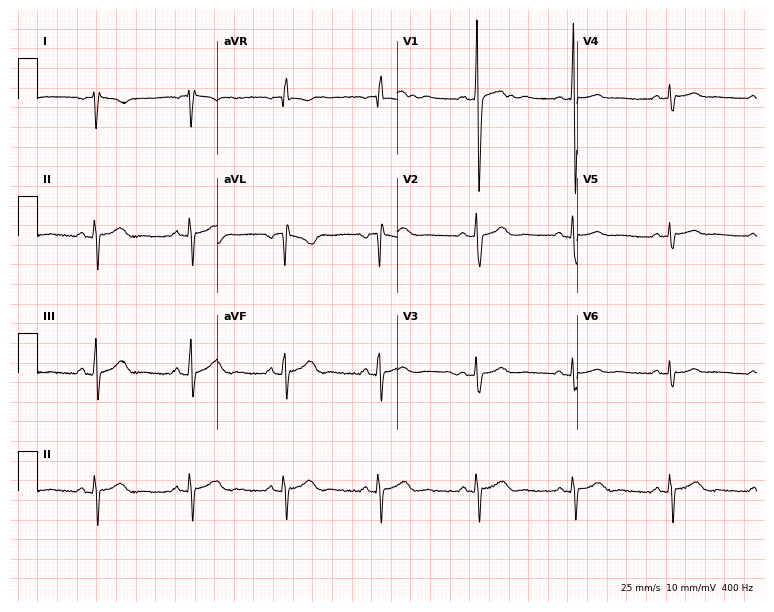
Resting 12-lead electrocardiogram. Patient: a man, 35 years old. None of these six findings is recorded: first-degree AV block, right bundle branch block (RBBB), left bundle branch block (LBBB), sinus bradycardia, atrial fibrillation (AF), sinus tachycardia. Only these six findings were labelled.